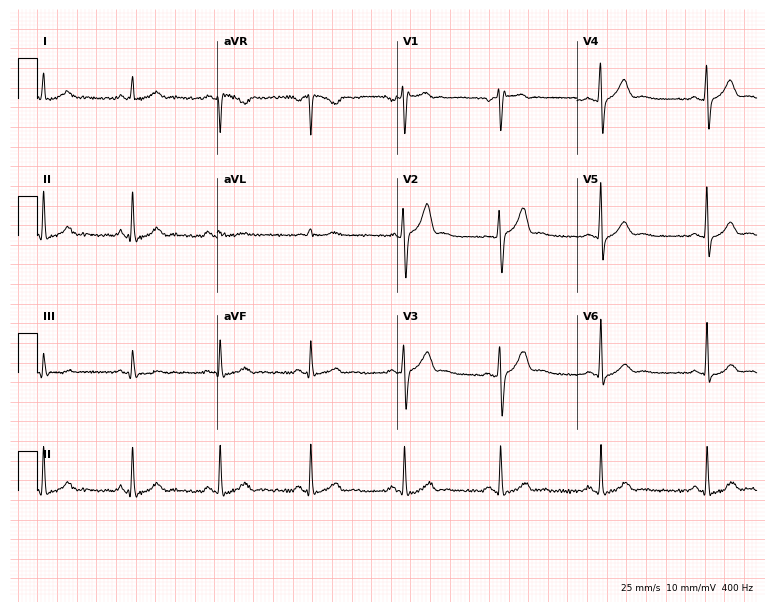
12-lead ECG (7.3-second recording at 400 Hz) from a male, 40 years old. Labelled as a normal ECG.